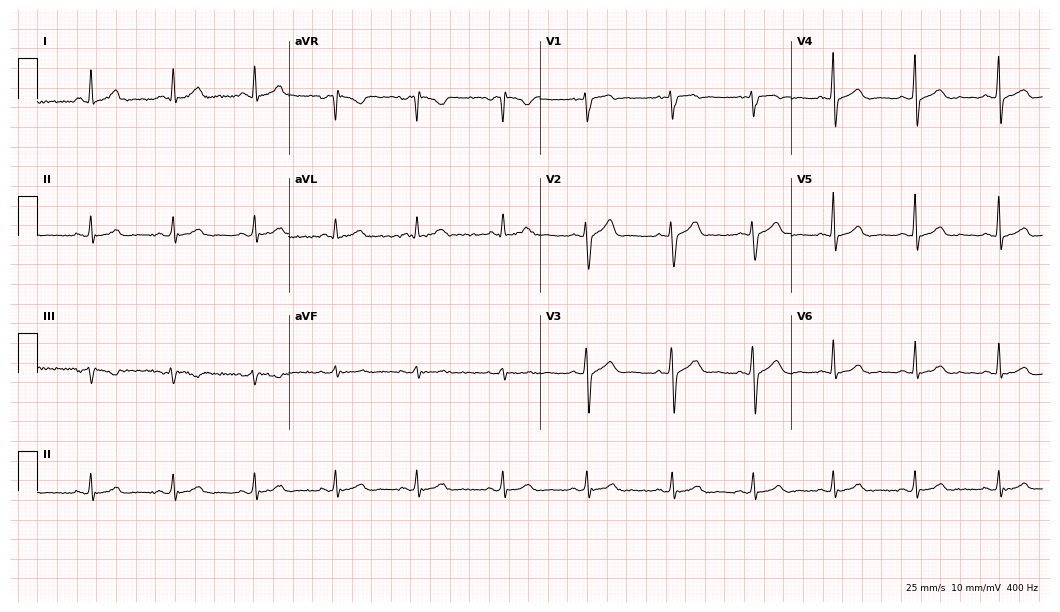
Electrocardiogram (10.2-second recording at 400 Hz), a man, 48 years old. Overall reading on record: normal ECG.